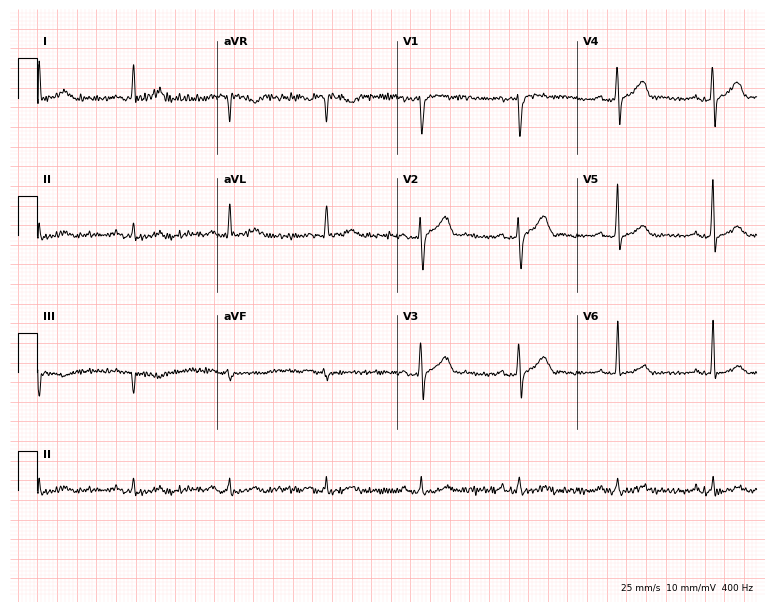
ECG — a woman, 41 years old. Screened for six findings — first-degree AV block, right bundle branch block (RBBB), left bundle branch block (LBBB), sinus bradycardia, atrial fibrillation (AF), sinus tachycardia — none is recorded. Only these six findings were labelled.